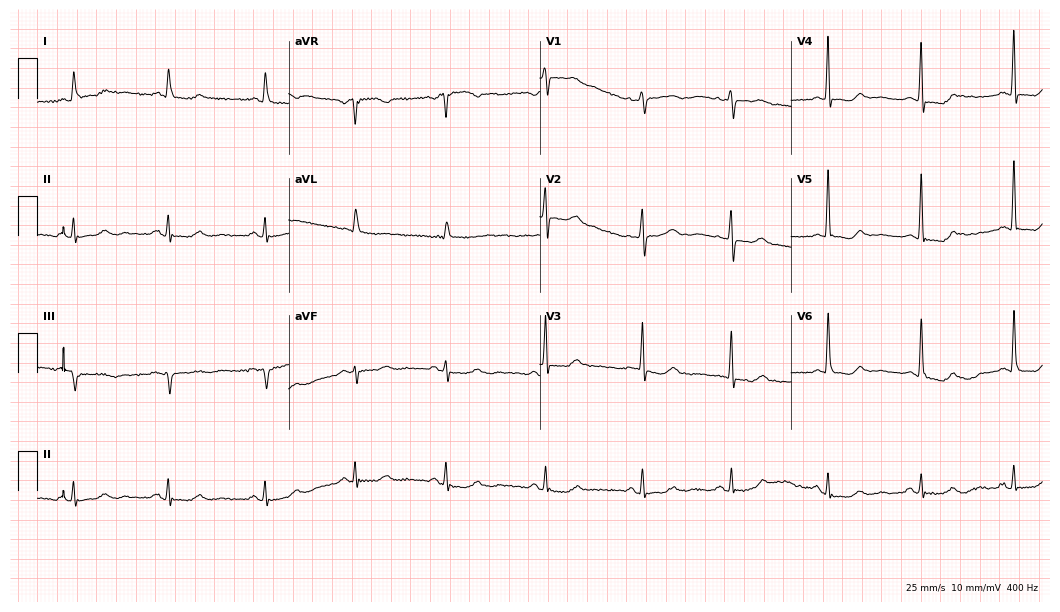
Standard 12-lead ECG recorded from a 76-year-old female. None of these six findings is recorded: first-degree AV block, right bundle branch block (RBBB), left bundle branch block (LBBB), sinus bradycardia, atrial fibrillation (AF), sinus tachycardia. Other findings, if any, are not listed.